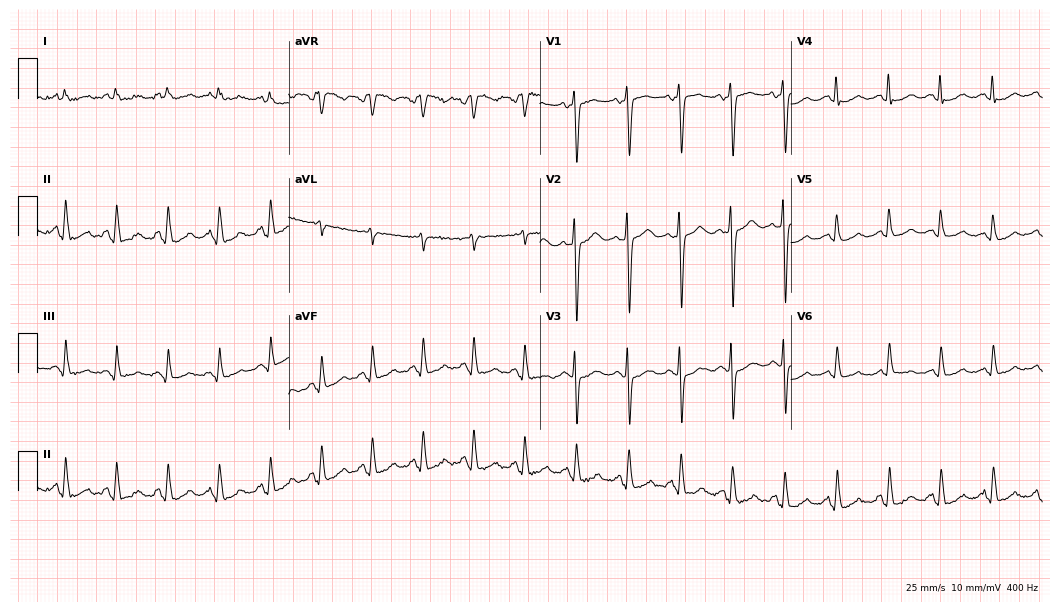
Electrocardiogram (10.2-second recording at 400 Hz), a female, 63 years old. Interpretation includes sinus tachycardia (a sinus rate of 100 beats per minute or more).